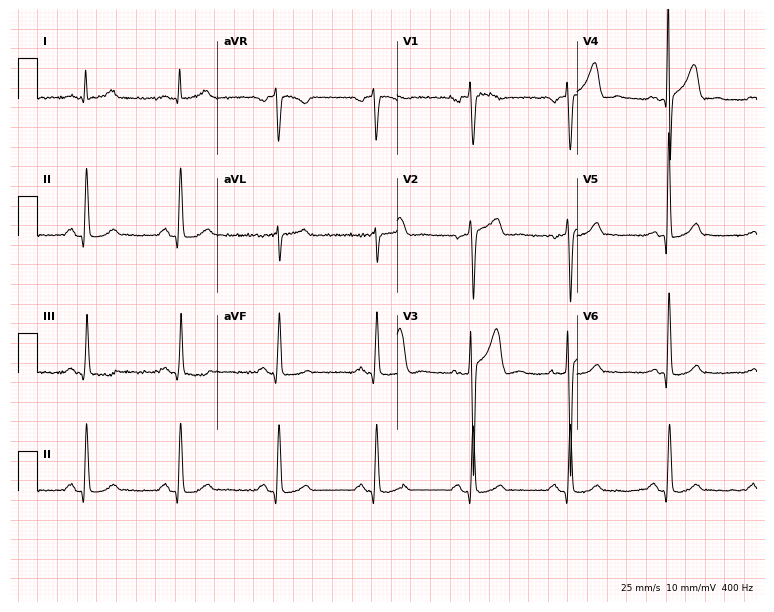
ECG (7.3-second recording at 400 Hz) — a male patient, 50 years old. Labelled as a normal ECG.